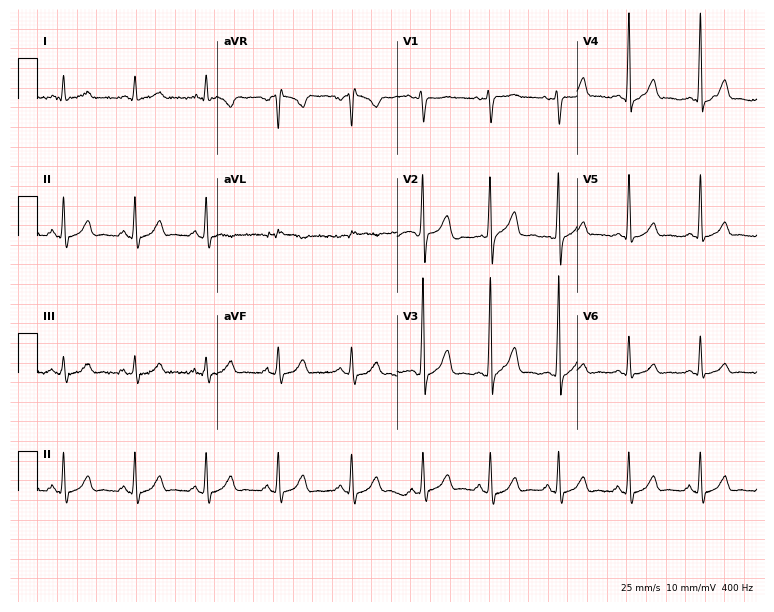
12-lead ECG (7.3-second recording at 400 Hz) from a 38-year-old male patient. Screened for six findings — first-degree AV block, right bundle branch block, left bundle branch block, sinus bradycardia, atrial fibrillation, sinus tachycardia — none is recorded. Other findings, if any, are not listed.